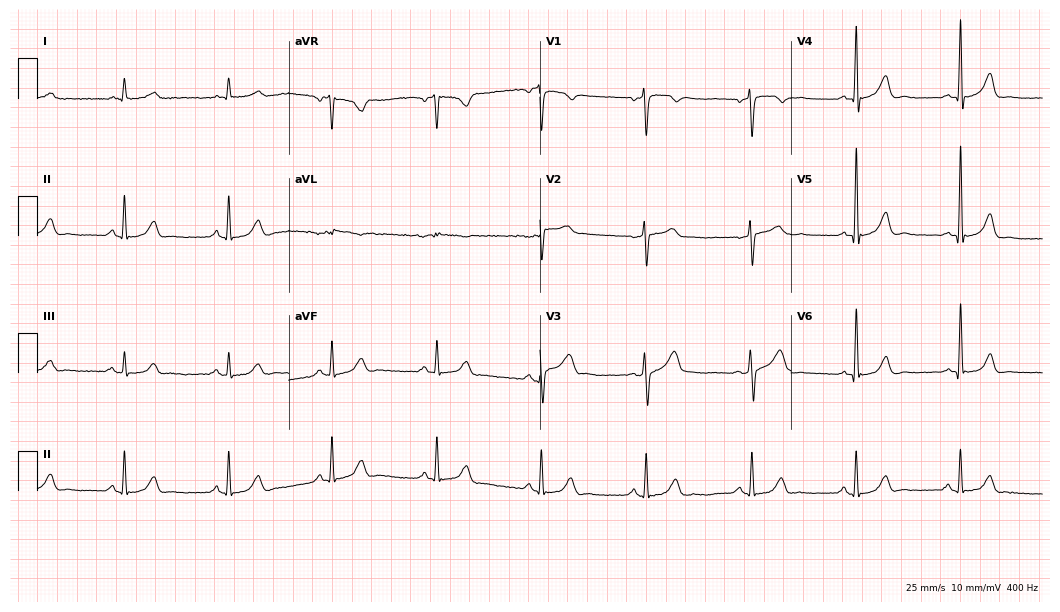
Standard 12-lead ECG recorded from a male patient, 72 years old (10.2-second recording at 400 Hz). None of these six findings is recorded: first-degree AV block, right bundle branch block, left bundle branch block, sinus bradycardia, atrial fibrillation, sinus tachycardia. Findings outside these six are not listed.